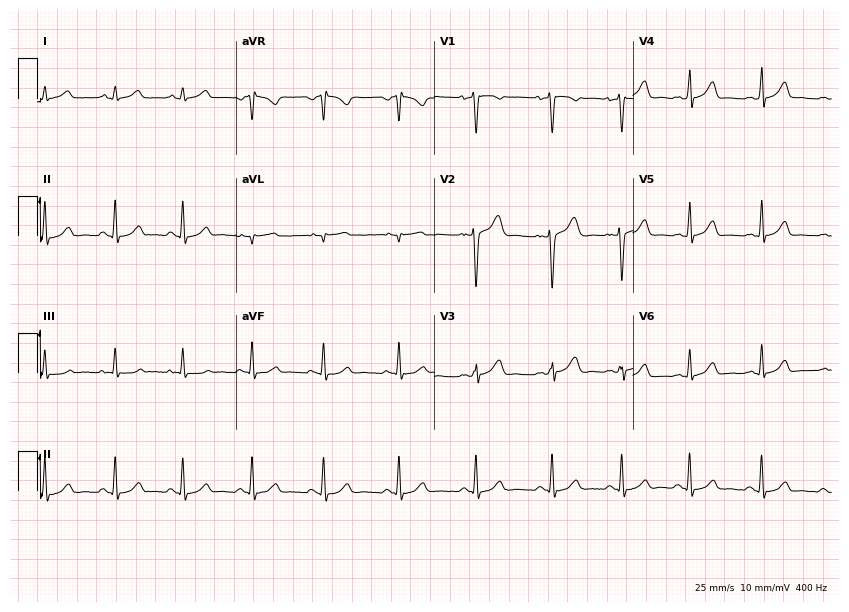
Standard 12-lead ECG recorded from a female, 22 years old (8.1-second recording at 400 Hz). Read as a normal ECG.